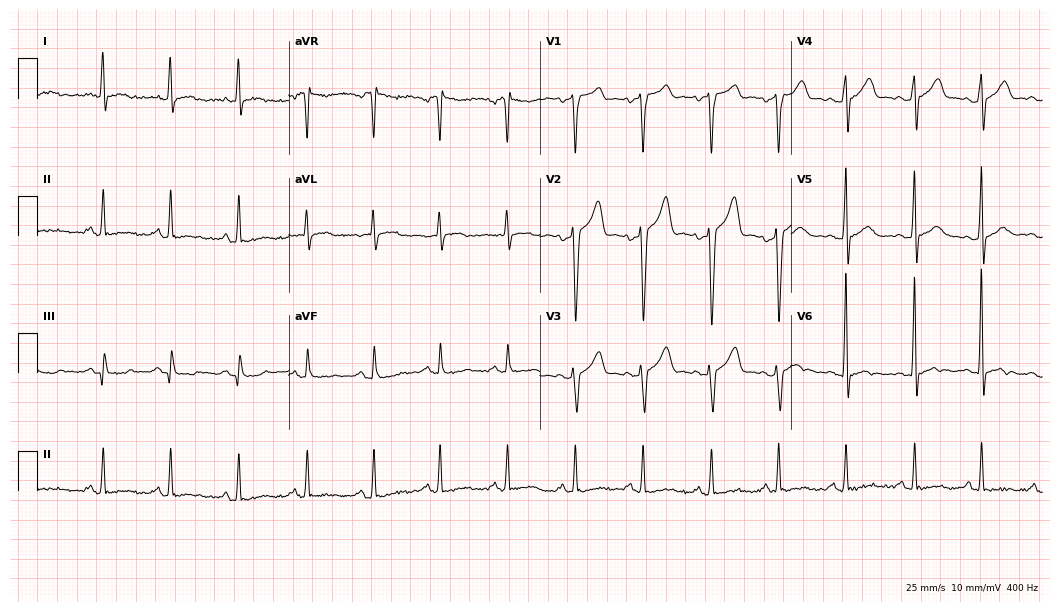
Electrocardiogram (10.2-second recording at 400 Hz), a 47-year-old male patient. Overall reading on record: normal ECG.